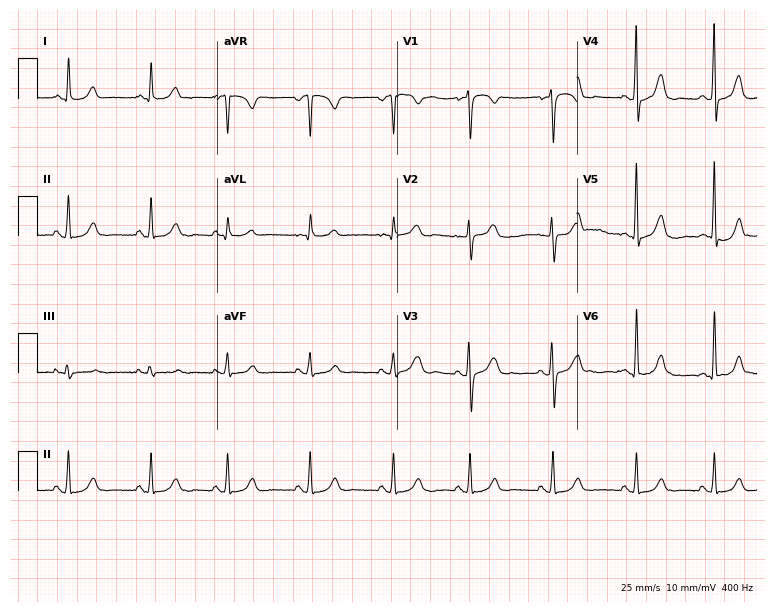
12-lead ECG from a female, 25 years old (7.3-second recording at 400 Hz). Recorded interpretation: within normal limits.